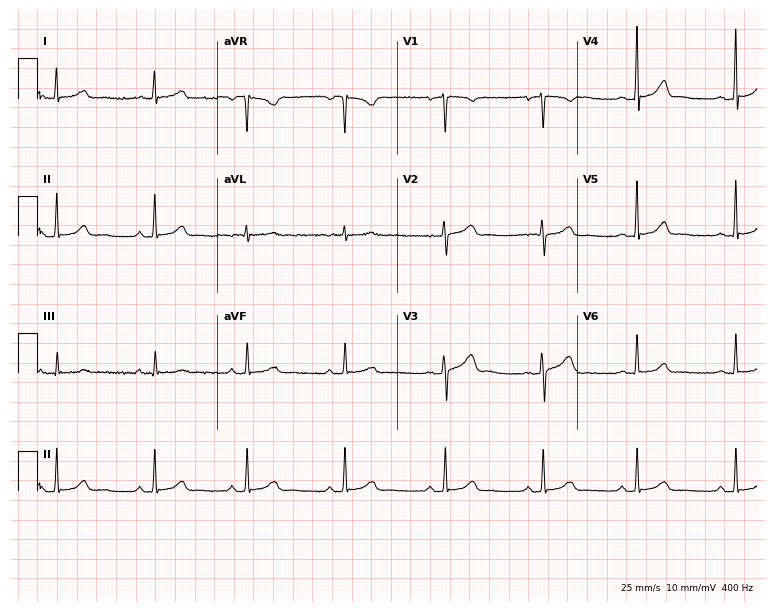
Standard 12-lead ECG recorded from a female patient, 28 years old. Read as a normal ECG.